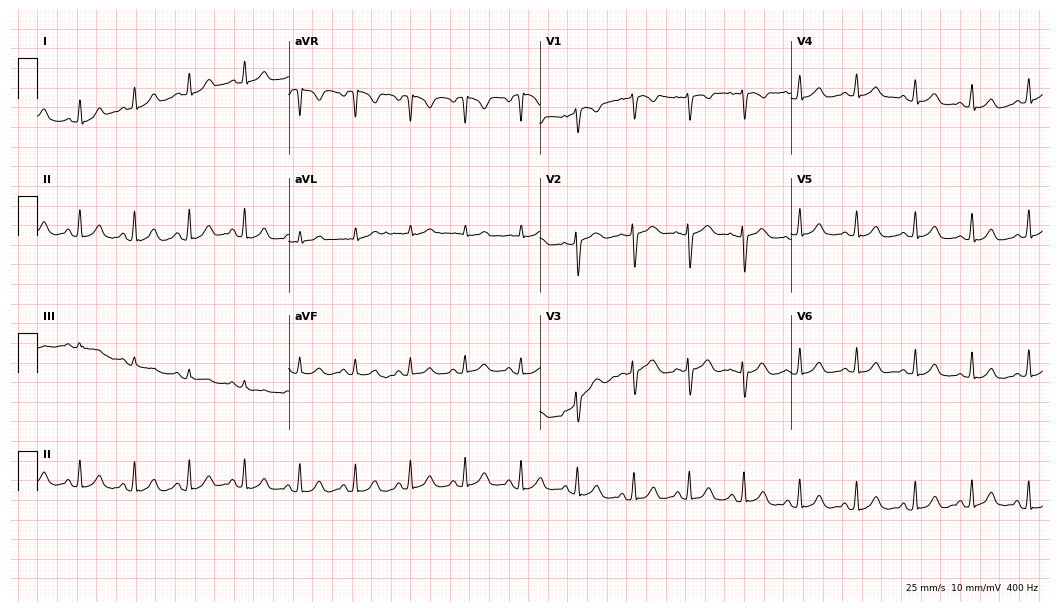
12-lead ECG from a woman, 23 years old. Labelled as a normal ECG.